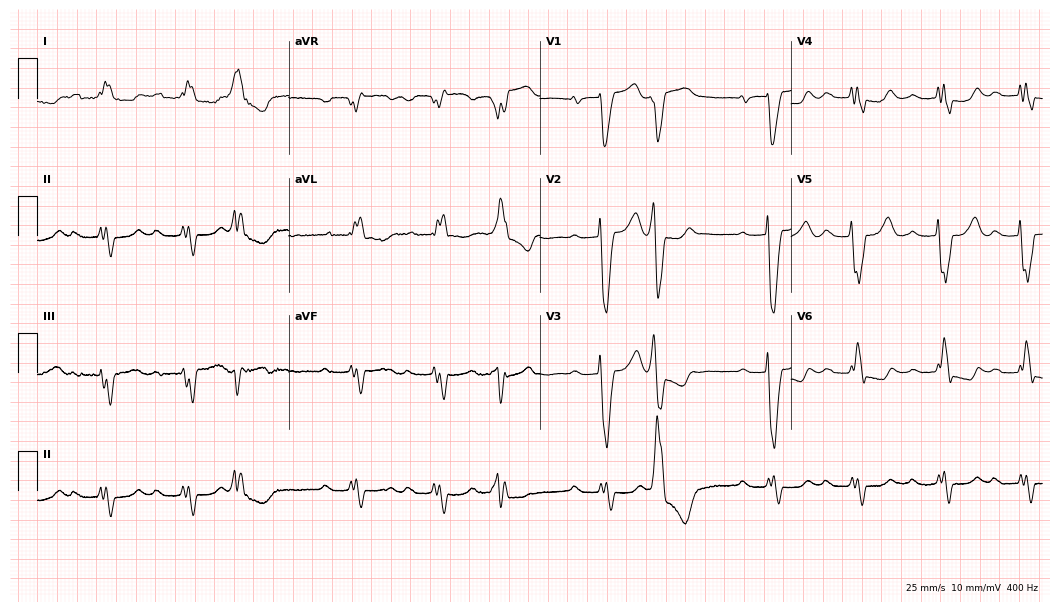
Electrocardiogram, a female patient, 77 years old. Of the six screened findings (first-degree AV block, right bundle branch block, left bundle branch block, sinus bradycardia, atrial fibrillation, sinus tachycardia), none is recorded.